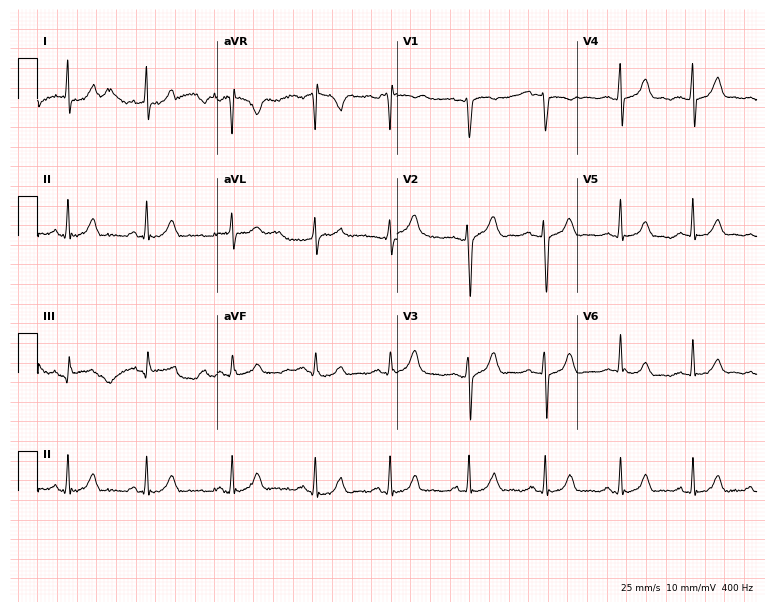
Electrocardiogram, a man, 20 years old. Overall reading on record: normal ECG.